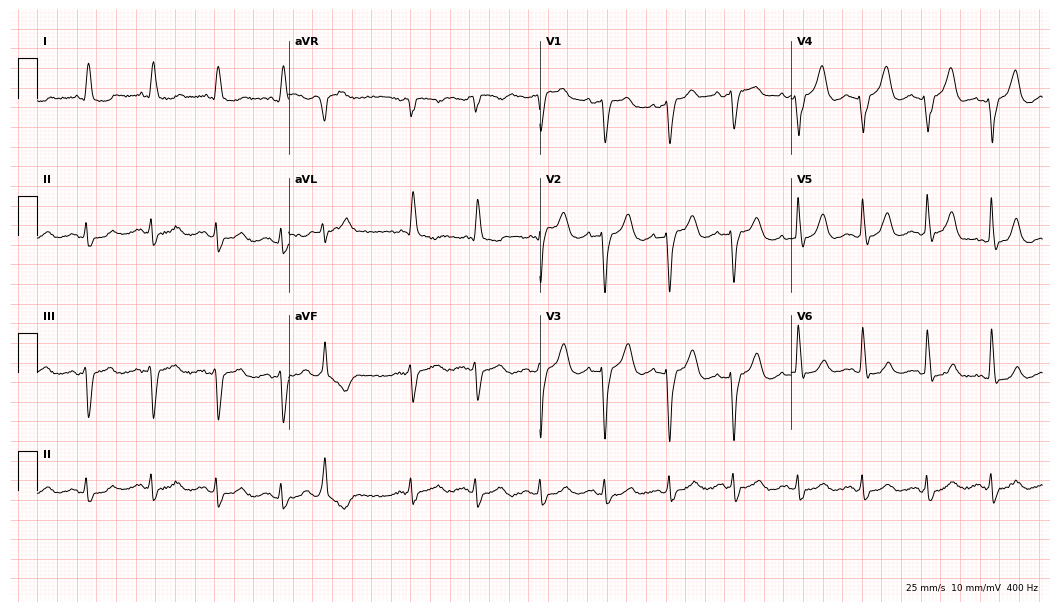
ECG (10.2-second recording at 400 Hz) — a female, 79 years old. Screened for six findings — first-degree AV block, right bundle branch block, left bundle branch block, sinus bradycardia, atrial fibrillation, sinus tachycardia — none is recorded.